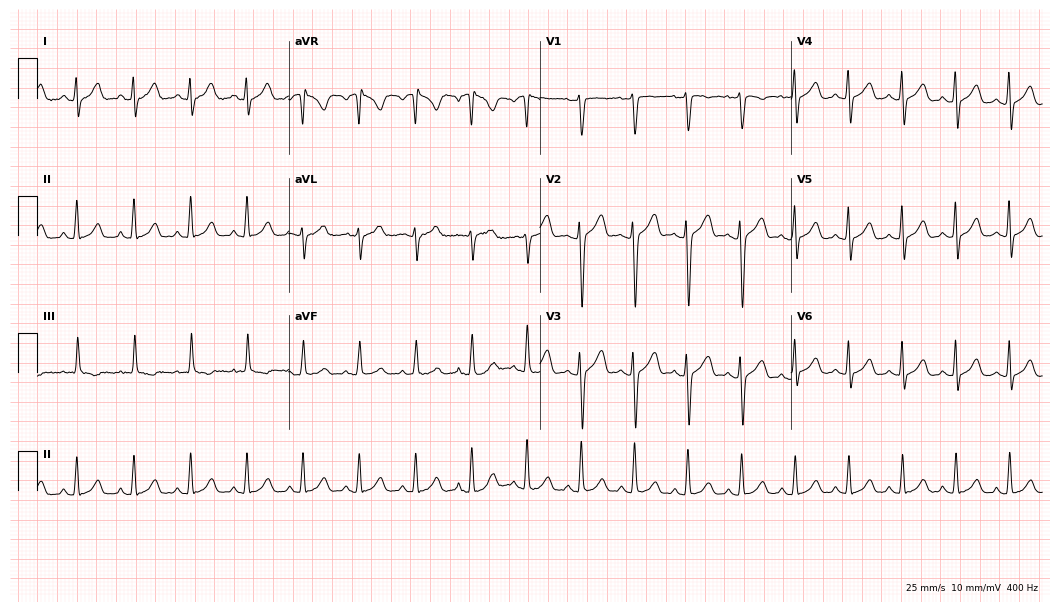
ECG — a woman, 21 years old. Findings include sinus tachycardia (a sinus rate of 100 beats per minute or more).